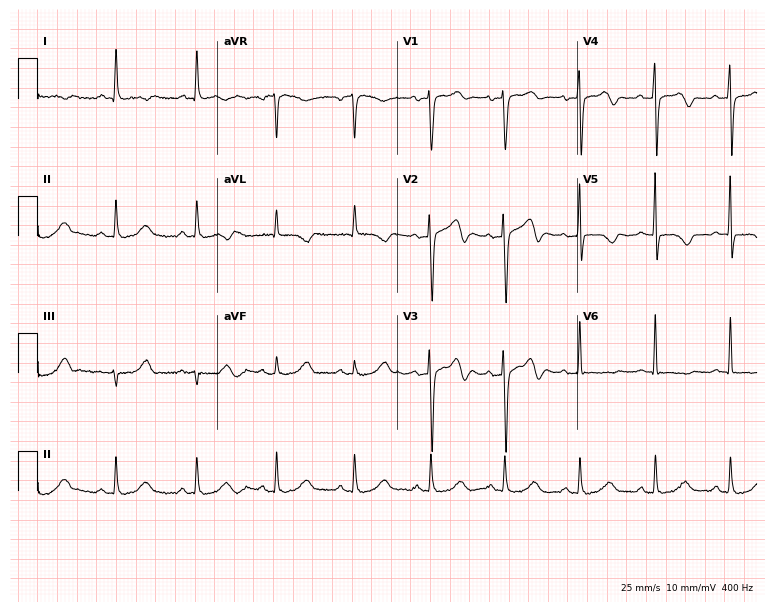
Resting 12-lead electrocardiogram. Patient: a 46-year-old female. None of these six findings is recorded: first-degree AV block, right bundle branch block, left bundle branch block, sinus bradycardia, atrial fibrillation, sinus tachycardia.